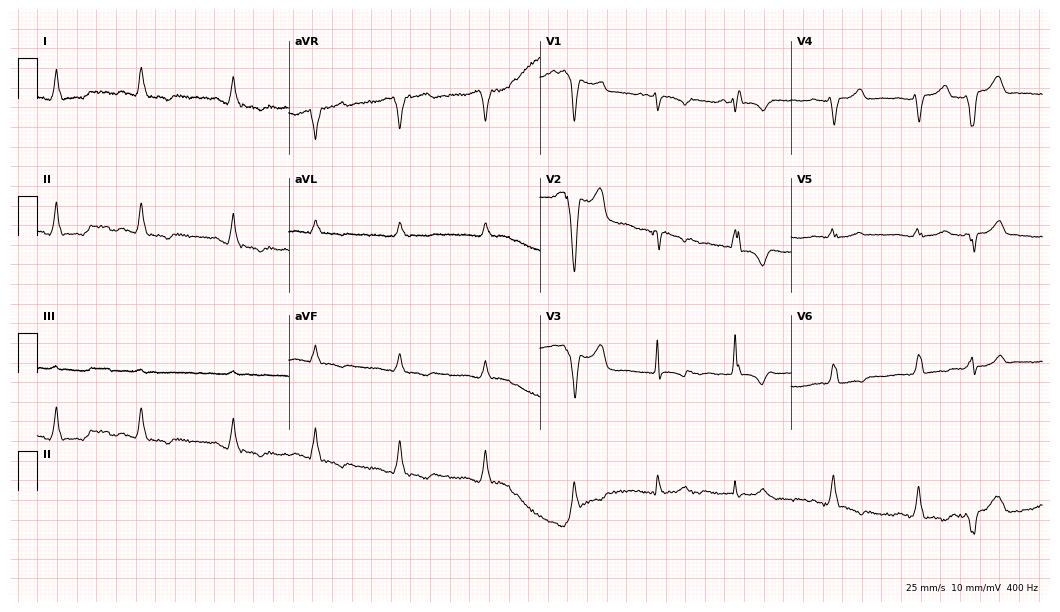
Standard 12-lead ECG recorded from a female patient, 77 years old. None of these six findings is recorded: first-degree AV block, right bundle branch block, left bundle branch block, sinus bradycardia, atrial fibrillation, sinus tachycardia. Only these six findings were labelled.